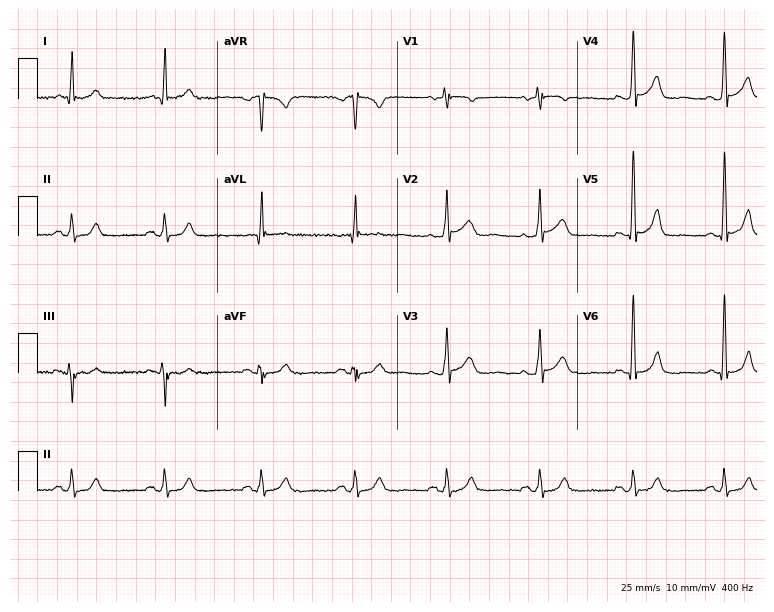
12-lead ECG (7.3-second recording at 400 Hz) from a 73-year-old male. Screened for six findings — first-degree AV block, right bundle branch block (RBBB), left bundle branch block (LBBB), sinus bradycardia, atrial fibrillation (AF), sinus tachycardia — none is recorded. Only these six findings were labelled.